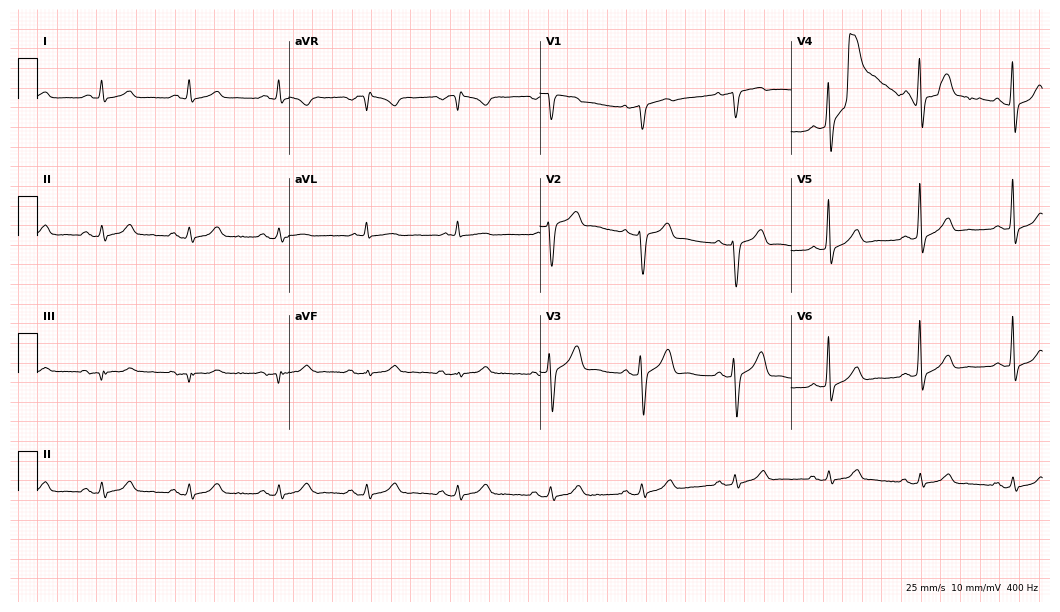
12-lead ECG from a male patient, 66 years old. Recorded interpretation: within normal limits.